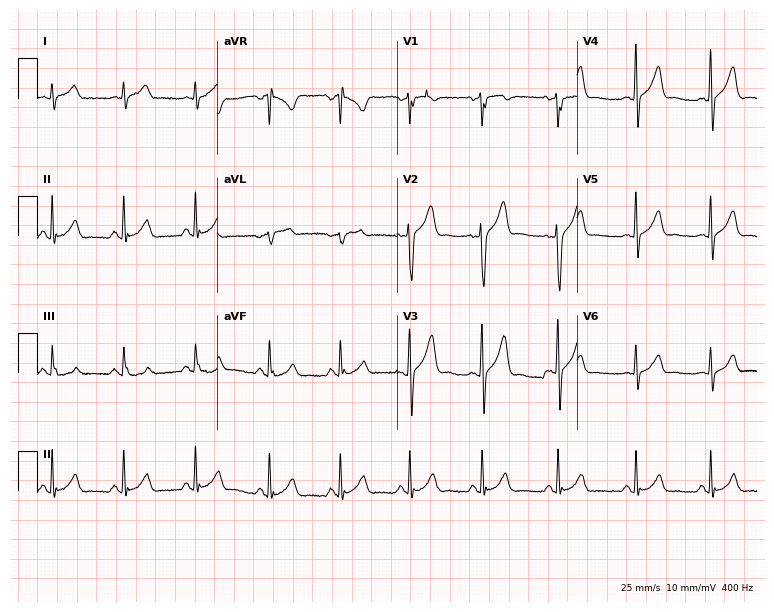
Electrocardiogram, a 51-year-old male patient. Overall reading on record: normal ECG.